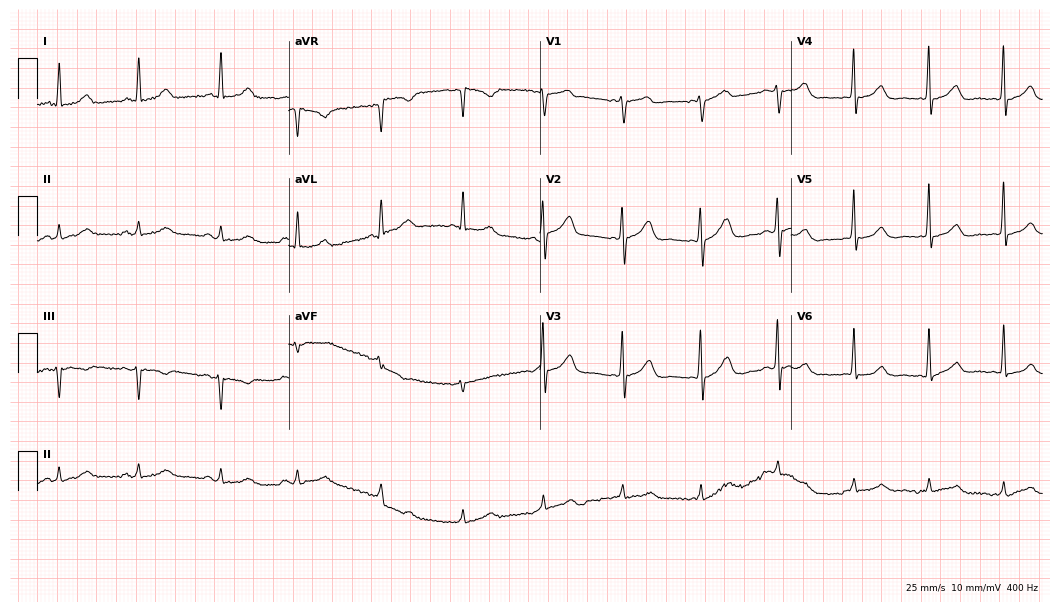
ECG (10.2-second recording at 400 Hz) — a female, 77 years old. Screened for six findings — first-degree AV block, right bundle branch block, left bundle branch block, sinus bradycardia, atrial fibrillation, sinus tachycardia — none is recorded.